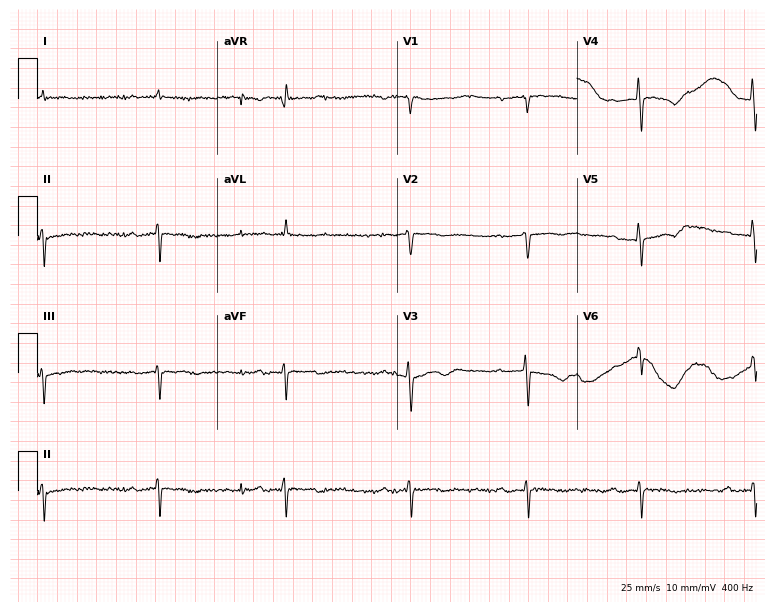
Standard 12-lead ECG recorded from a 78-year-old woman. None of these six findings is recorded: first-degree AV block, right bundle branch block, left bundle branch block, sinus bradycardia, atrial fibrillation, sinus tachycardia.